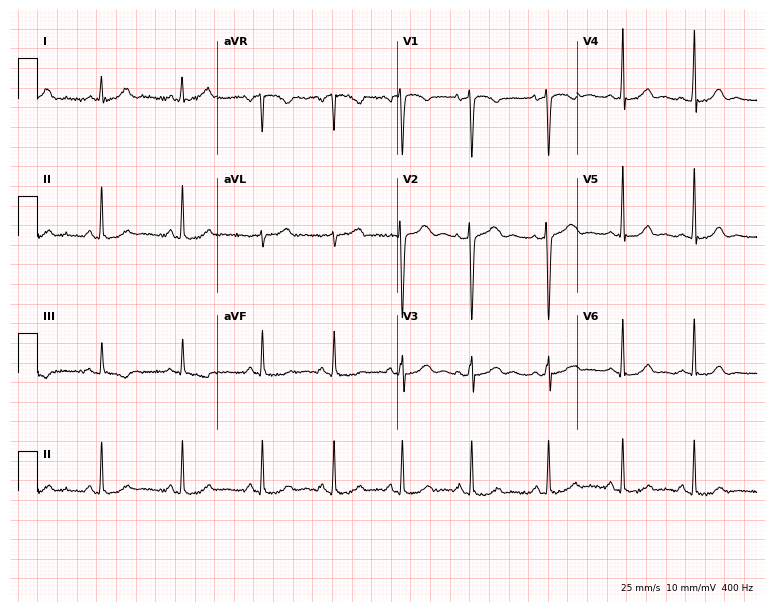
12-lead ECG from a female patient, 39 years old. Labelled as a normal ECG.